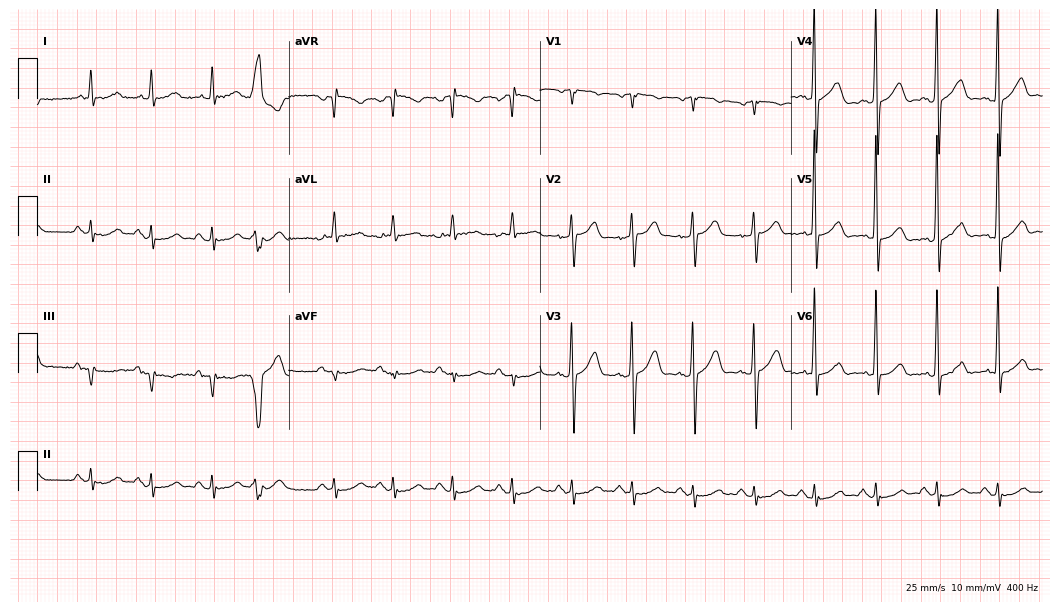
12-lead ECG from a 72-year-old male. No first-degree AV block, right bundle branch block, left bundle branch block, sinus bradycardia, atrial fibrillation or sinus tachycardia recorded for this tracing. Other findings, if any, are not listed.